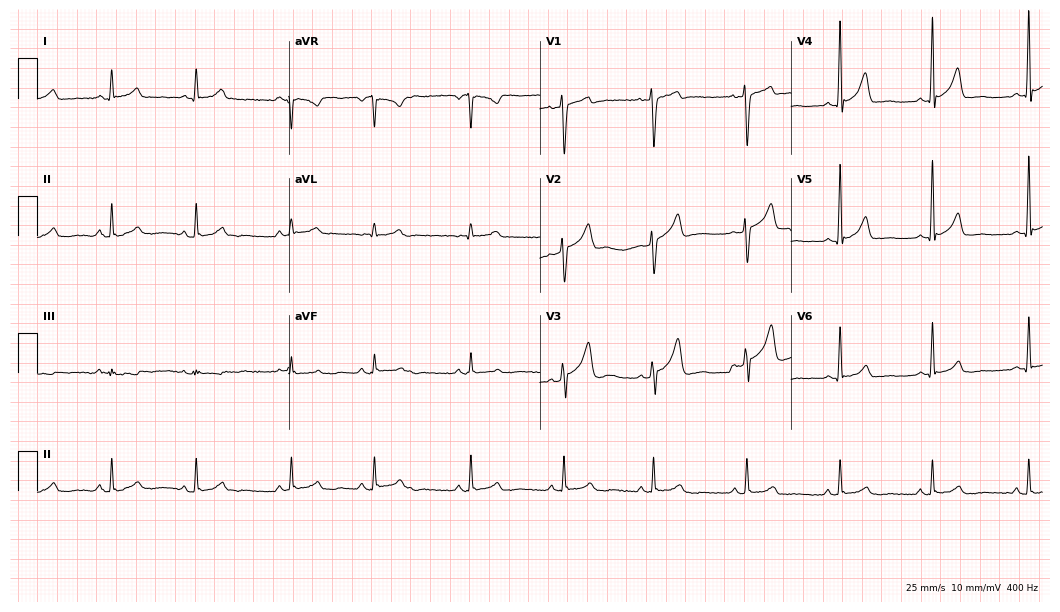
Electrocardiogram, a male, 42 years old. Of the six screened findings (first-degree AV block, right bundle branch block, left bundle branch block, sinus bradycardia, atrial fibrillation, sinus tachycardia), none is recorded.